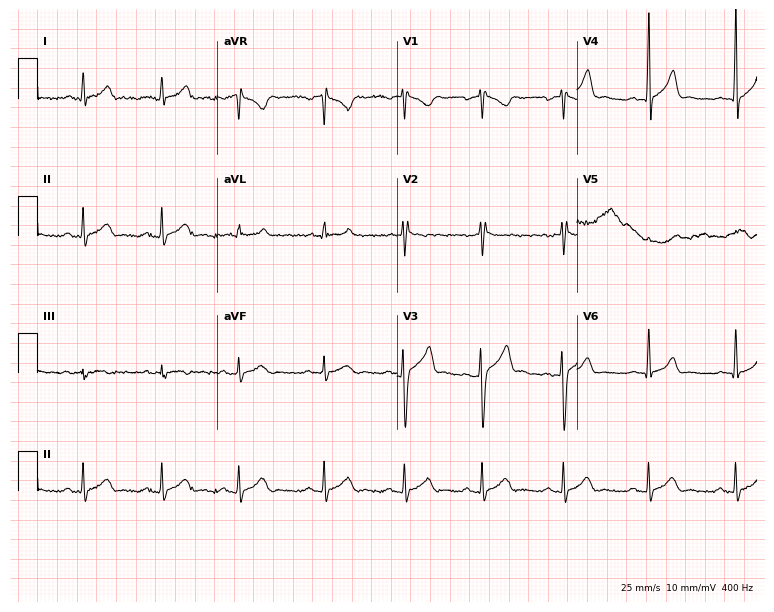
12-lead ECG from a male, 22 years old (7.3-second recording at 400 Hz). Recorded interpretation: within normal limits.